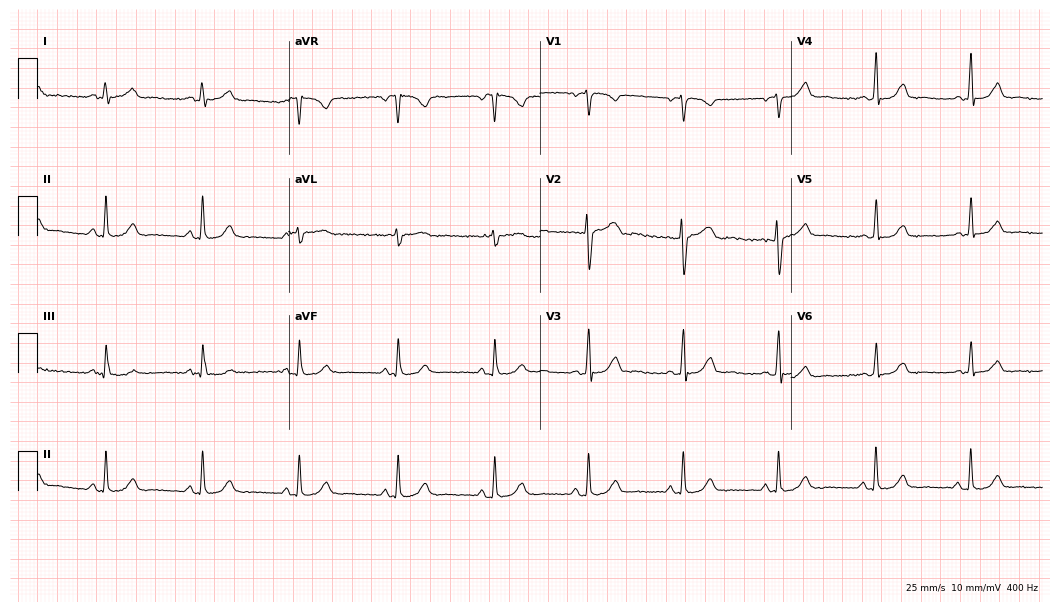
12-lead ECG (10.2-second recording at 400 Hz) from a female patient, 36 years old. Screened for six findings — first-degree AV block, right bundle branch block, left bundle branch block, sinus bradycardia, atrial fibrillation, sinus tachycardia — none is recorded. Findings outside these six are not listed.